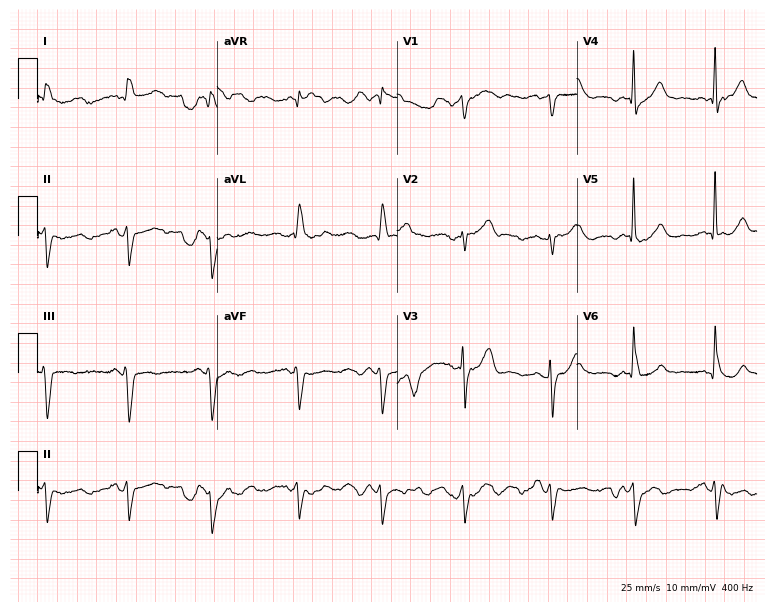
ECG — an 81-year-old male. Screened for six findings — first-degree AV block, right bundle branch block, left bundle branch block, sinus bradycardia, atrial fibrillation, sinus tachycardia — none is recorded. Findings outside these six are not listed.